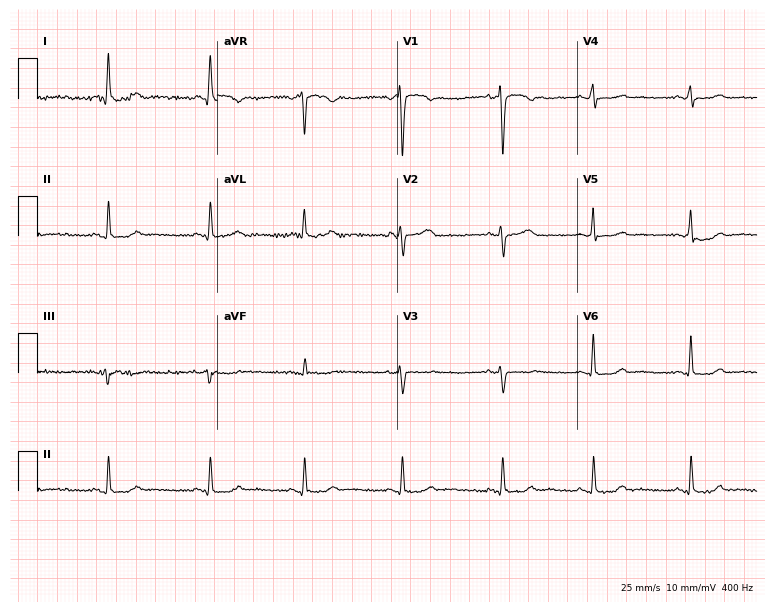
Resting 12-lead electrocardiogram (7.3-second recording at 400 Hz). Patient: a 44-year-old female. Read as a normal ECG.